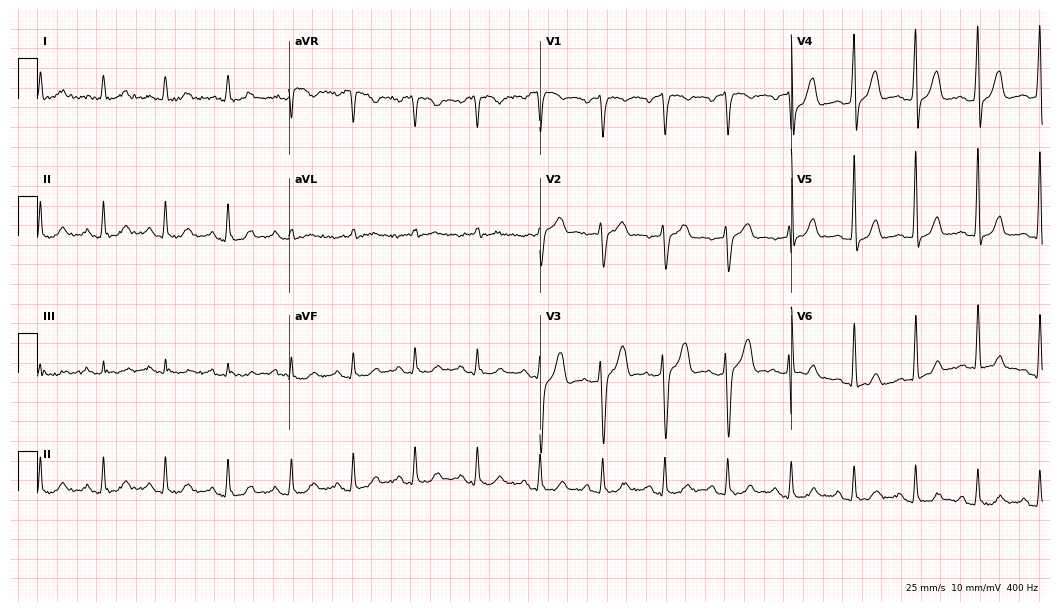
12-lead ECG from a 73-year-old male patient (10.2-second recording at 400 Hz). Recorded interpretation: within normal limits.